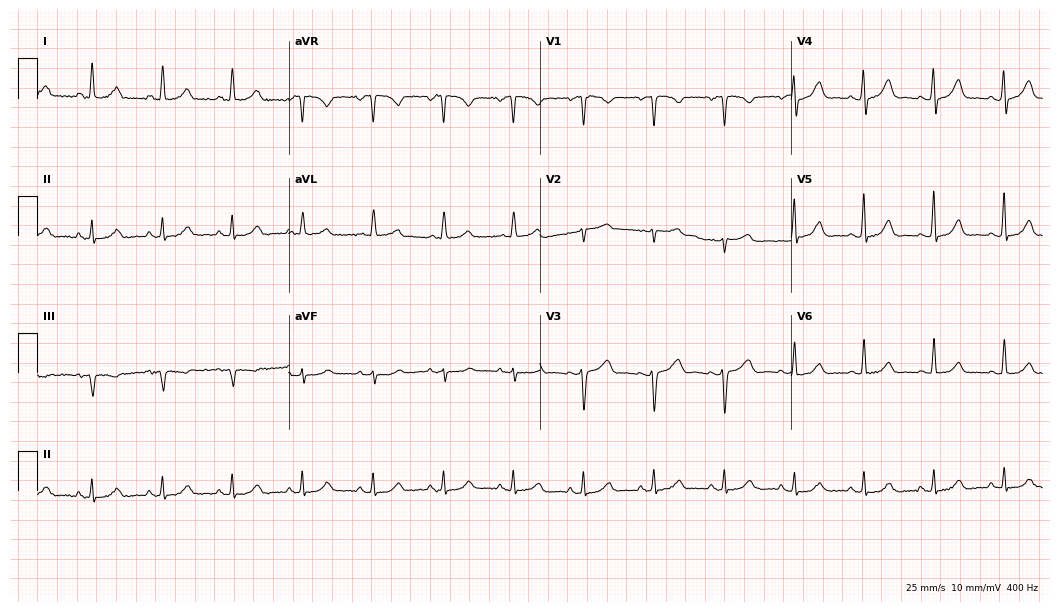
12-lead ECG from a 52-year-old female. No first-degree AV block, right bundle branch block, left bundle branch block, sinus bradycardia, atrial fibrillation or sinus tachycardia recorded for this tracing.